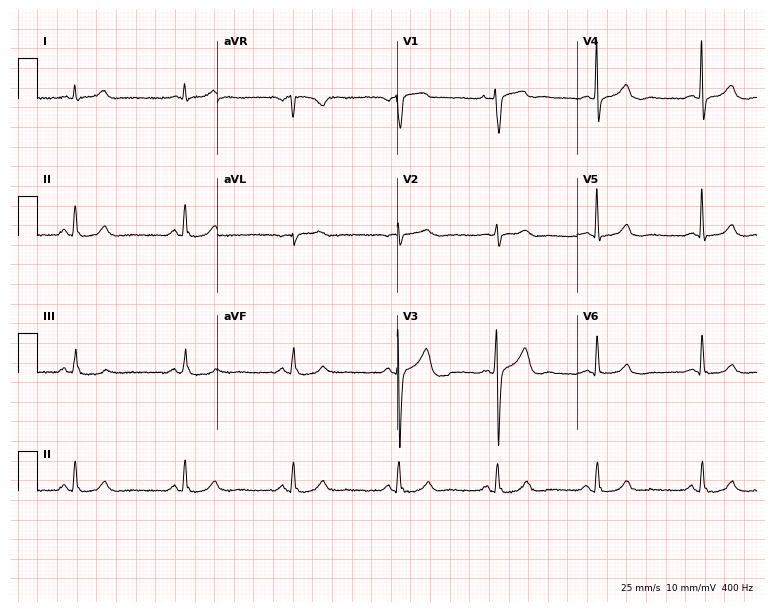
12-lead ECG (7.3-second recording at 400 Hz) from a man, 36 years old. Labelled as a normal ECG.